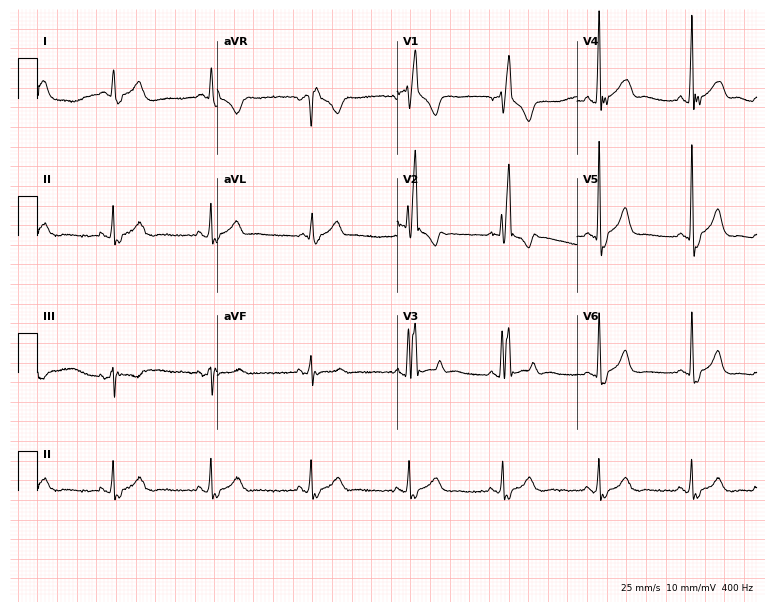
12-lead ECG from a 51-year-old man. Shows right bundle branch block.